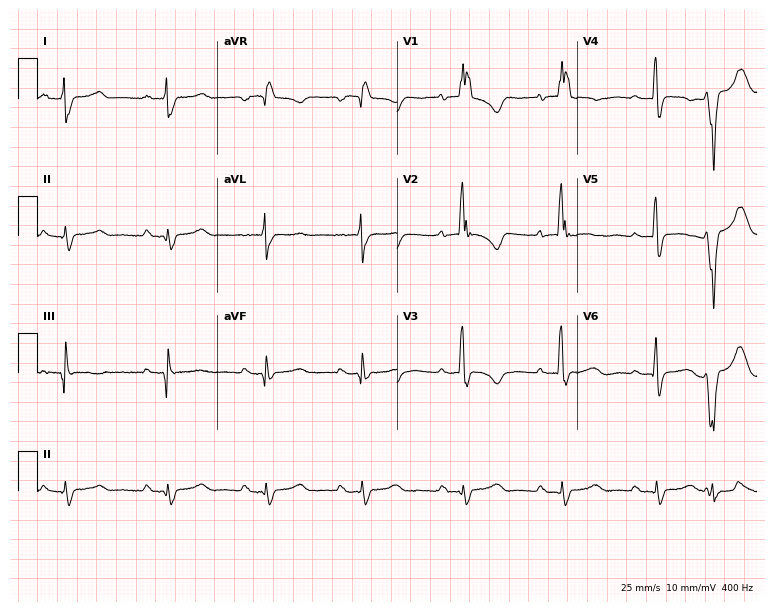
Electrocardiogram (7.3-second recording at 400 Hz), a woman, 44 years old. Interpretation includes first-degree AV block, right bundle branch block.